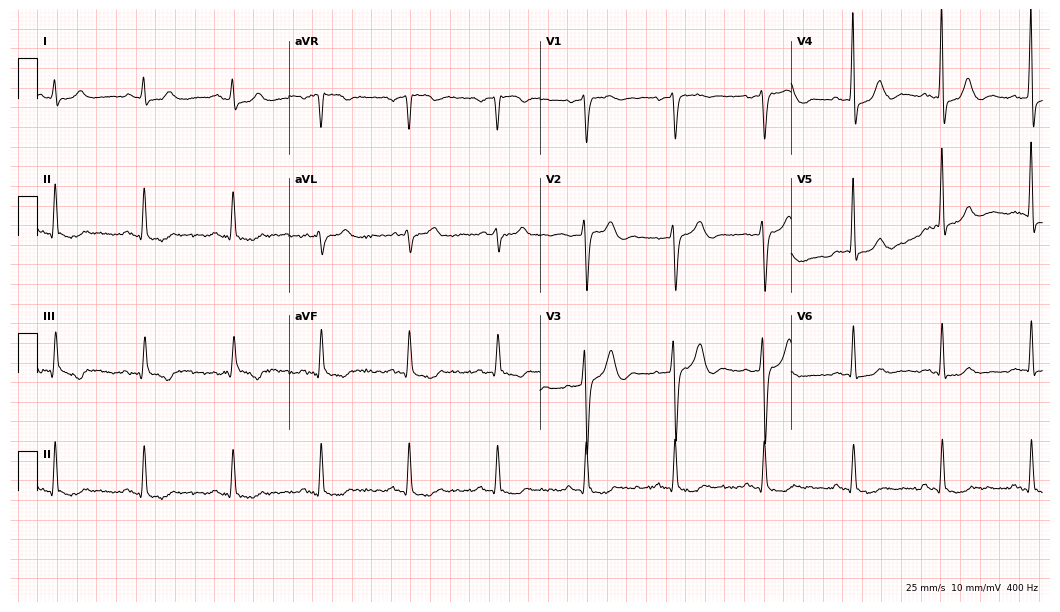
12-lead ECG (10.2-second recording at 400 Hz) from an 82-year-old male patient. Screened for six findings — first-degree AV block, right bundle branch block, left bundle branch block, sinus bradycardia, atrial fibrillation, sinus tachycardia — none is recorded.